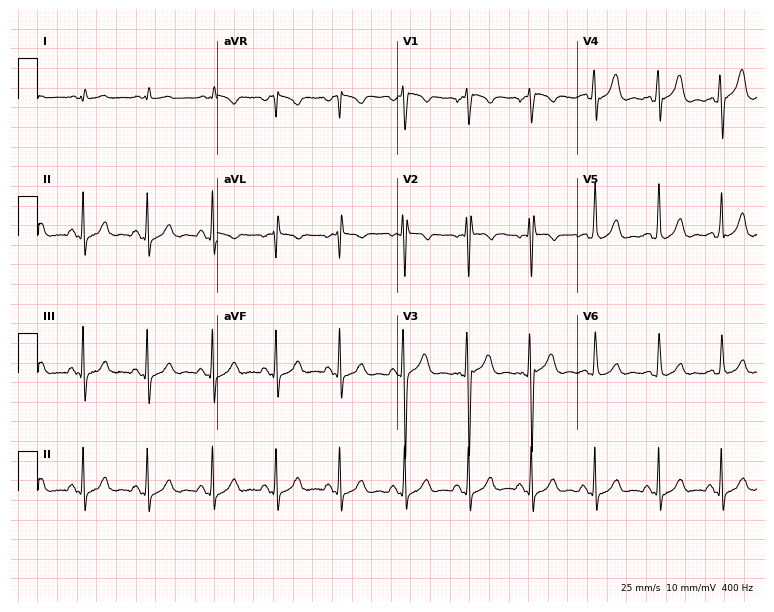
ECG — a man, 41 years old. Screened for six findings — first-degree AV block, right bundle branch block (RBBB), left bundle branch block (LBBB), sinus bradycardia, atrial fibrillation (AF), sinus tachycardia — none is recorded.